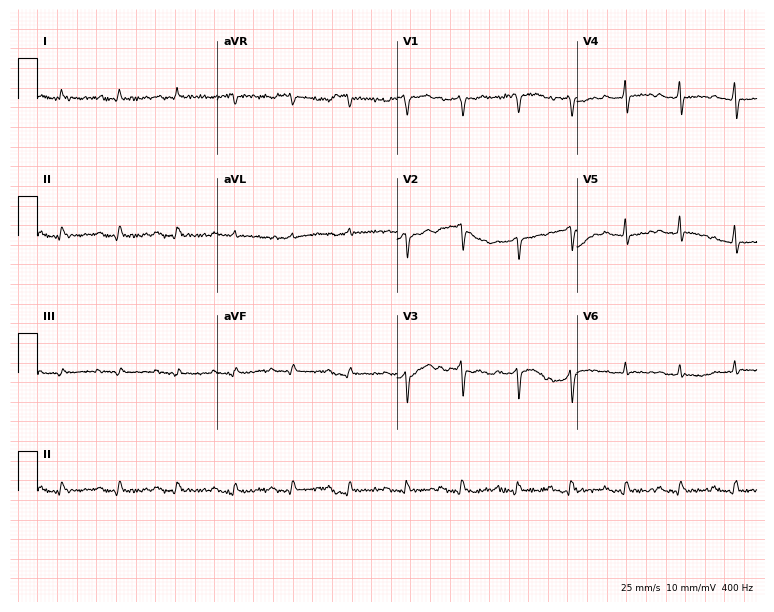
Electrocardiogram, a male, 54 years old. Of the six screened findings (first-degree AV block, right bundle branch block, left bundle branch block, sinus bradycardia, atrial fibrillation, sinus tachycardia), none is recorded. Other findings, if any, are not listed.